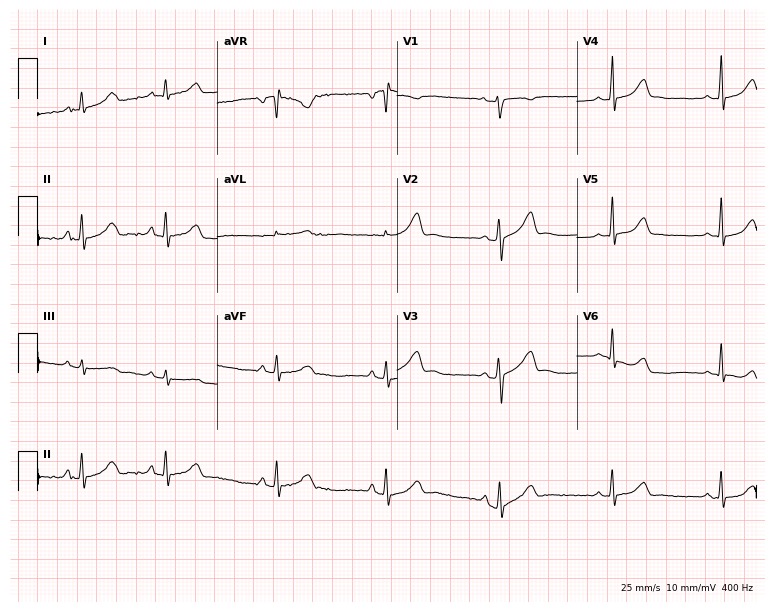
ECG (7.3-second recording at 400 Hz) — a 22-year-old woman. Screened for six findings — first-degree AV block, right bundle branch block, left bundle branch block, sinus bradycardia, atrial fibrillation, sinus tachycardia — none is recorded. Findings outside these six are not listed.